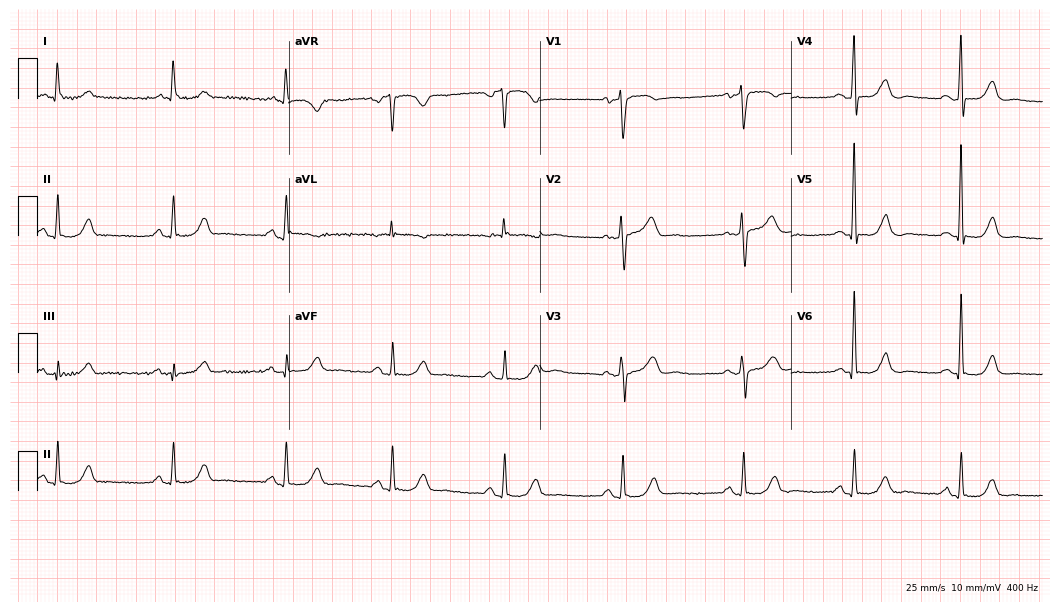
Resting 12-lead electrocardiogram. Patient: a female, 76 years old. Read as a normal ECG.